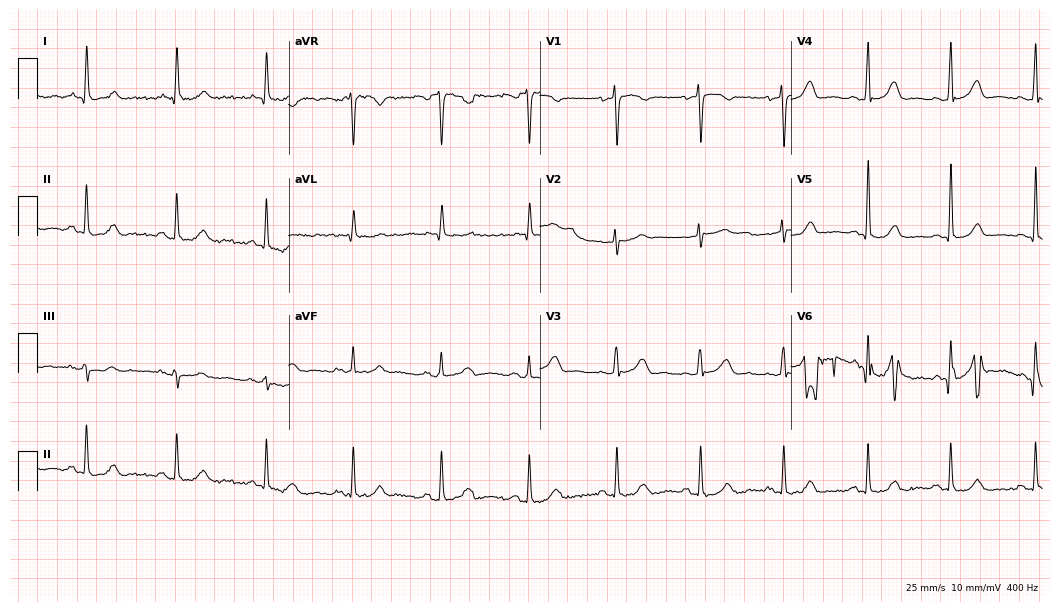
ECG (10.2-second recording at 400 Hz) — a 70-year-old female. Labelled as a normal ECG.